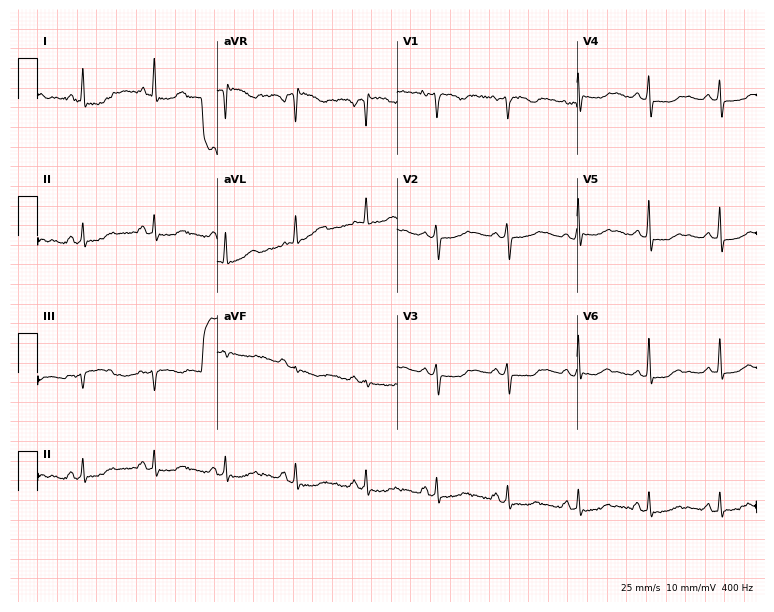
12-lead ECG from a female, 61 years old. No first-degree AV block, right bundle branch block, left bundle branch block, sinus bradycardia, atrial fibrillation or sinus tachycardia recorded for this tracing.